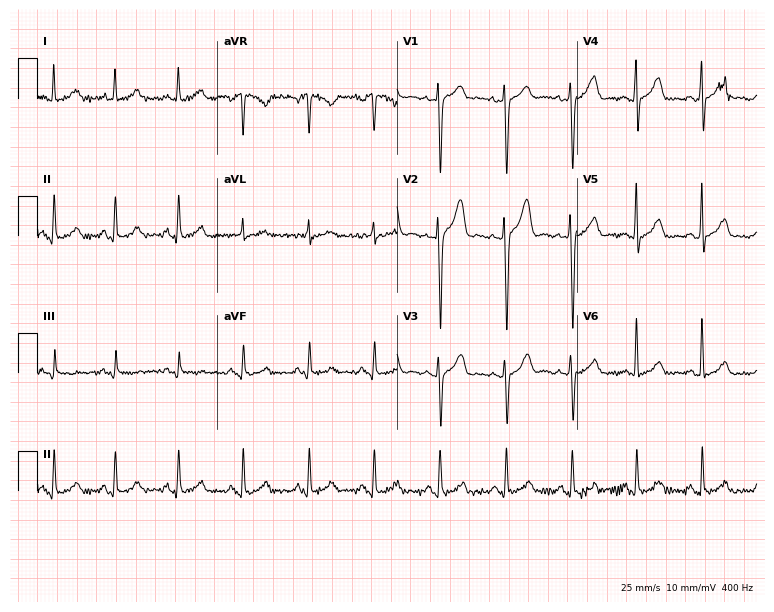
ECG — a 27-year-old female patient. Screened for six findings — first-degree AV block, right bundle branch block, left bundle branch block, sinus bradycardia, atrial fibrillation, sinus tachycardia — none is recorded. Other findings, if any, are not listed.